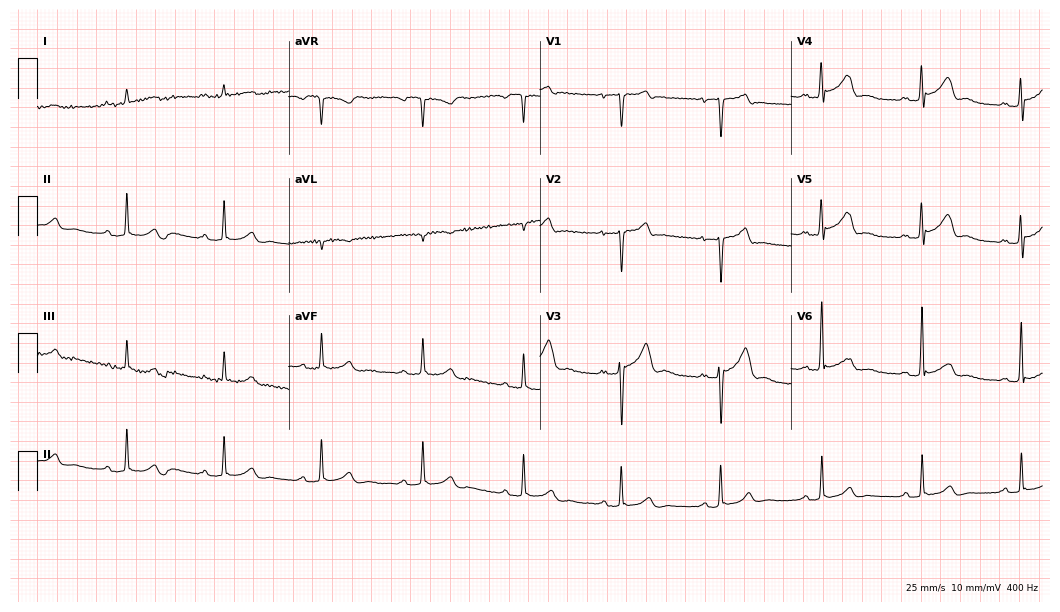
Resting 12-lead electrocardiogram (10.2-second recording at 400 Hz). Patient: a 42-year-old male. The tracing shows first-degree AV block.